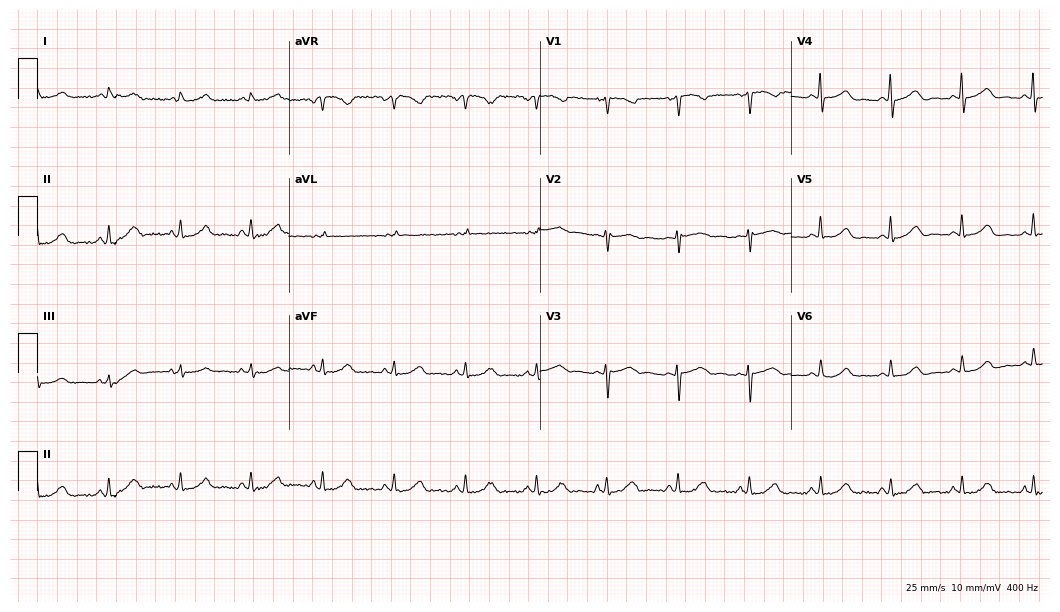
Resting 12-lead electrocardiogram. Patient: a 43-year-old female. None of these six findings is recorded: first-degree AV block, right bundle branch block, left bundle branch block, sinus bradycardia, atrial fibrillation, sinus tachycardia. Only these six findings were labelled.